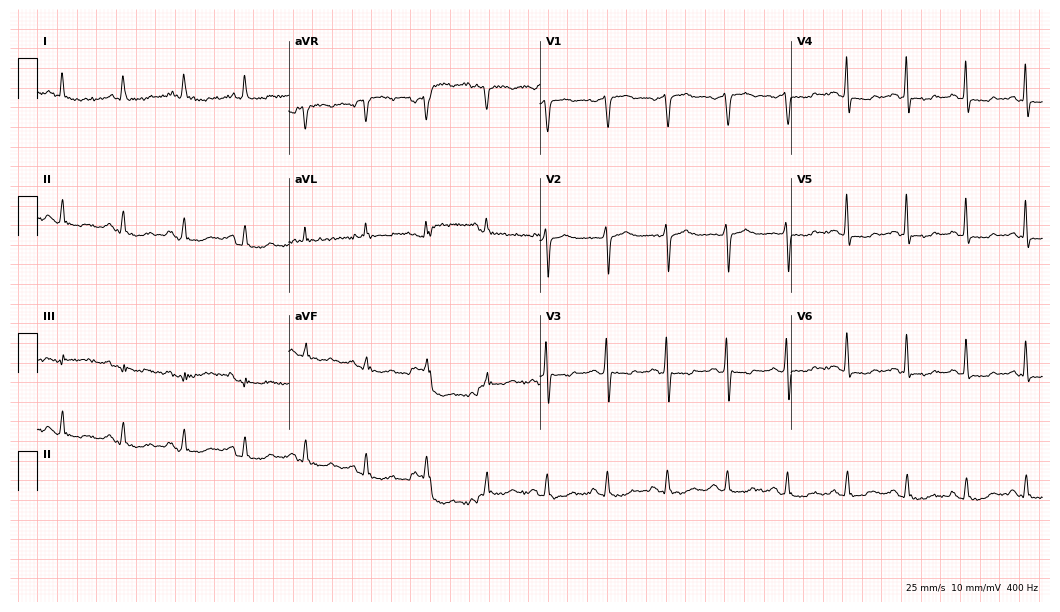
Standard 12-lead ECG recorded from a male patient, 69 years old. None of these six findings is recorded: first-degree AV block, right bundle branch block, left bundle branch block, sinus bradycardia, atrial fibrillation, sinus tachycardia.